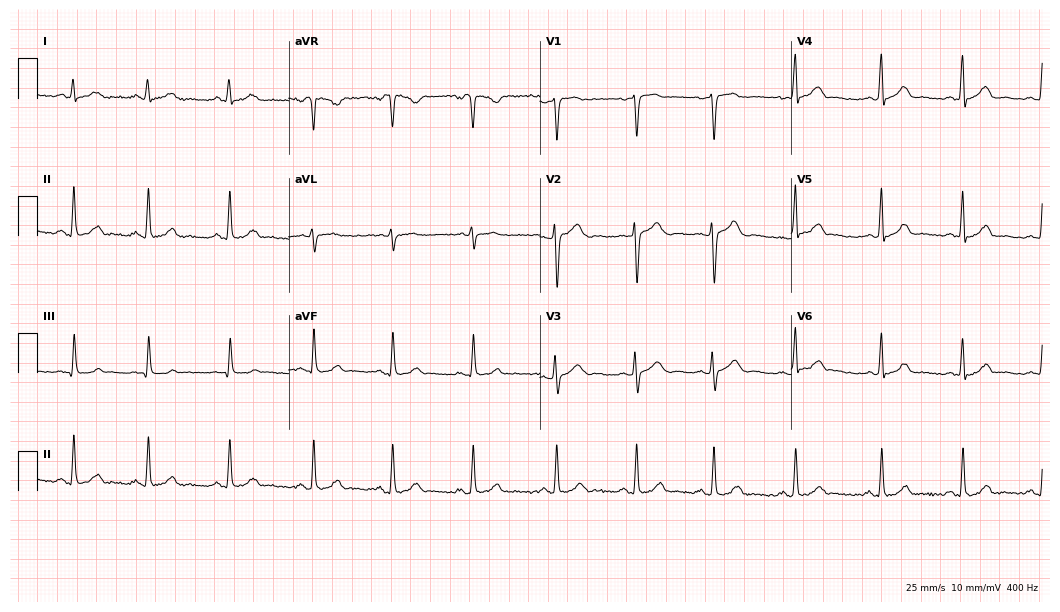
12-lead ECG (10.2-second recording at 400 Hz) from a 24-year-old female. Labelled as a normal ECG.